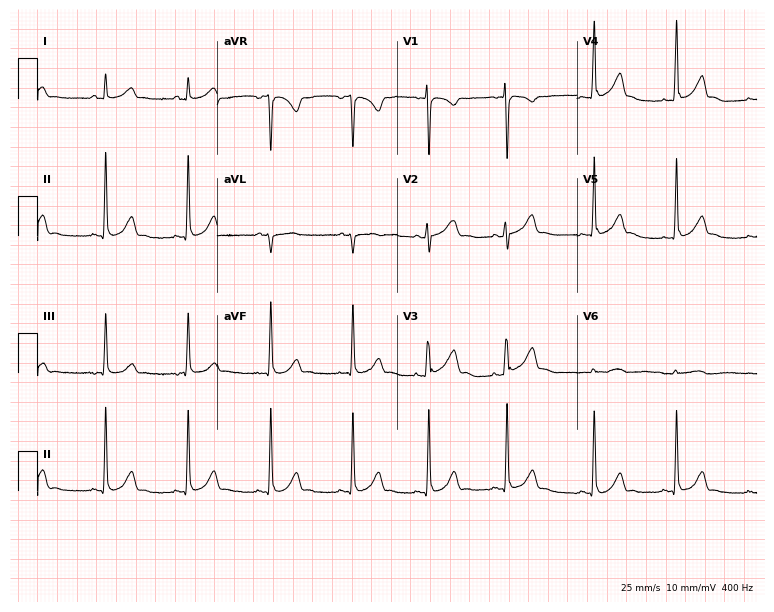
Resting 12-lead electrocardiogram. Patient: a 25-year-old female. None of these six findings is recorded: first-degree AV block, right bundle branch block, left bundle branch block, sinus bradycardia, atrial fibrillation, sinus tachycardia. Findings outside these six are not listed.